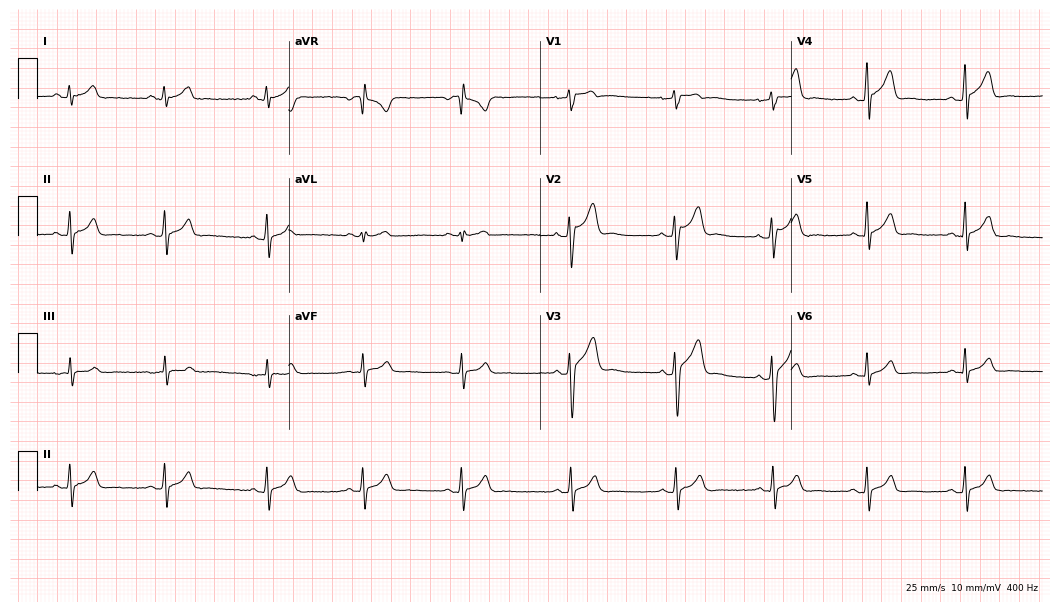
Electrocardiogram (10.2-second recording at 400 Hz), a 22-year-old man. Overall reading on record: normal ECG.